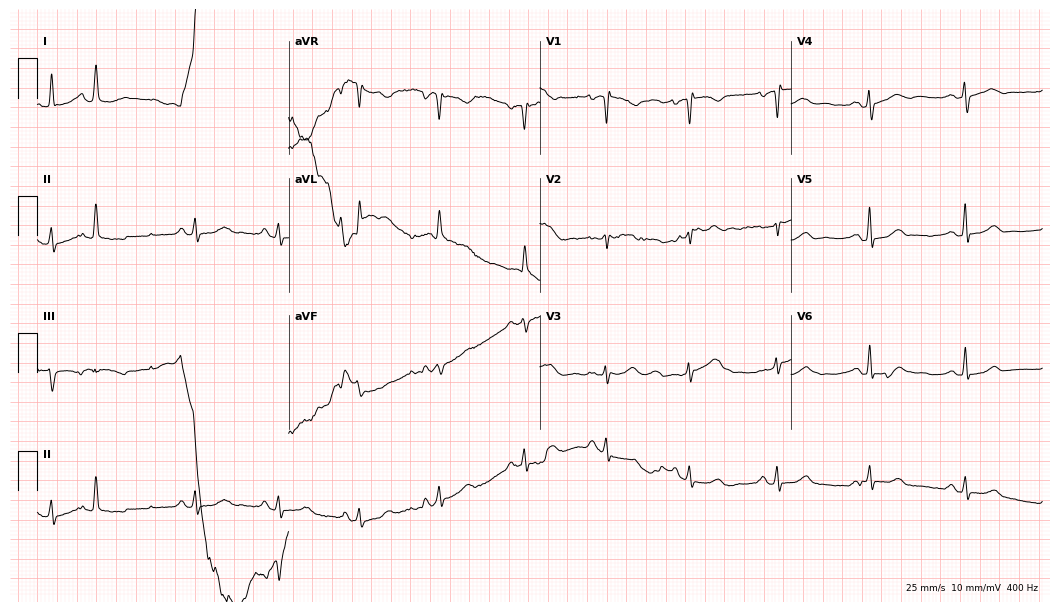
12-lead ECG from a 75-year-old woman (10.2-second recording at 400 Hz). No first-degree AV block, right bundle branch block (RBBB), left bundle branch block (LBBB), sinus bradycardia, atrial fibrillation (AF) or sinus tachycardia recorded for this tracing.